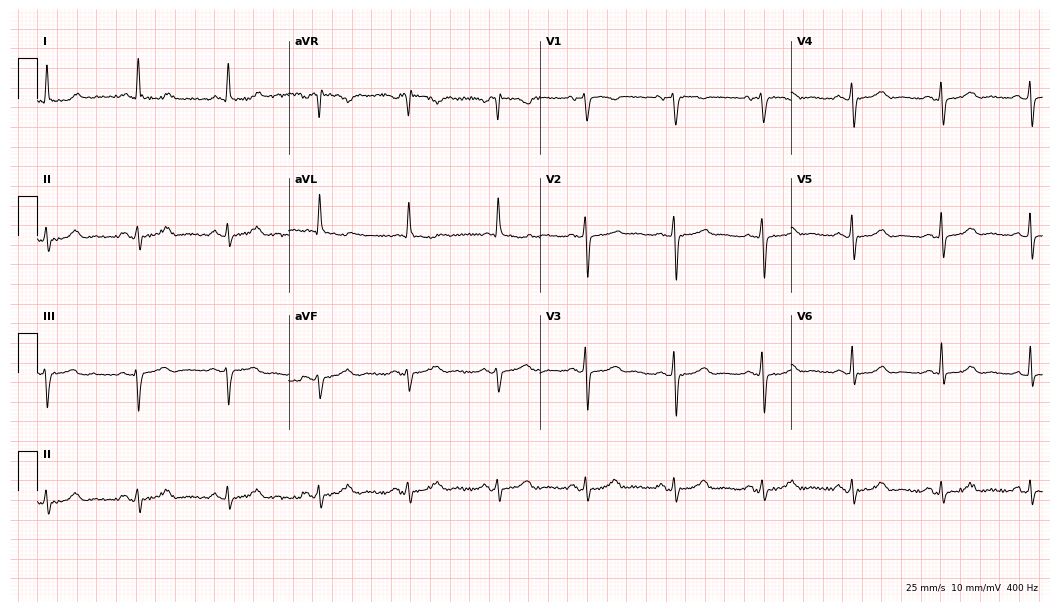
Resting 12-lead electrocardiogram (10.2-second recording at 400 Hz). Patient: a female, 73 years old. Read as a normal ECG.